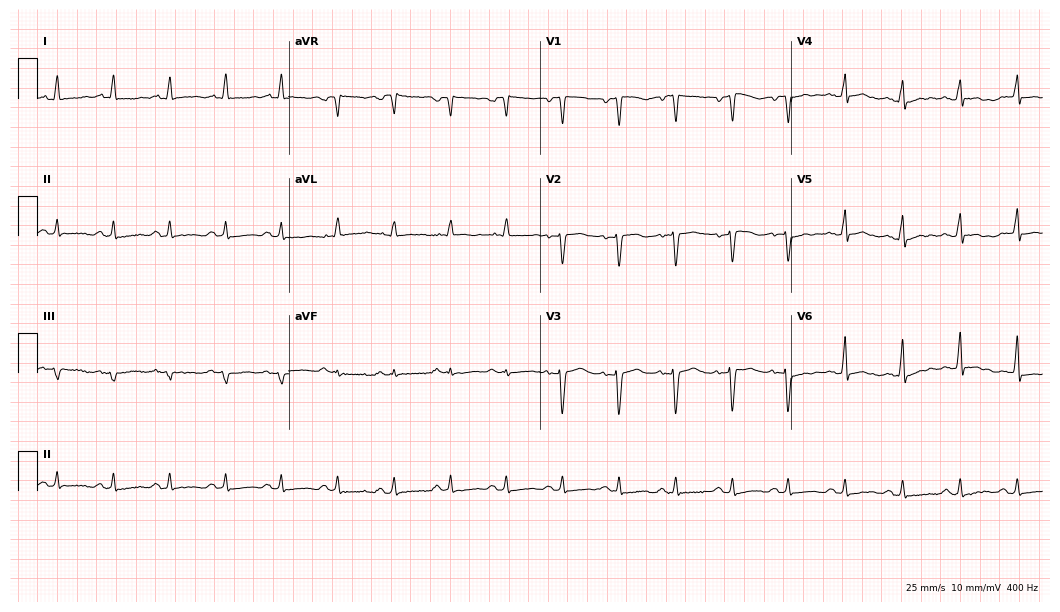
Electrocardiogram (10.2-second recording at 400 Hz), a woman, 42 years old. Interpretation includes sinus tachycardia (a sinus rate of 100 beats per minute or more).